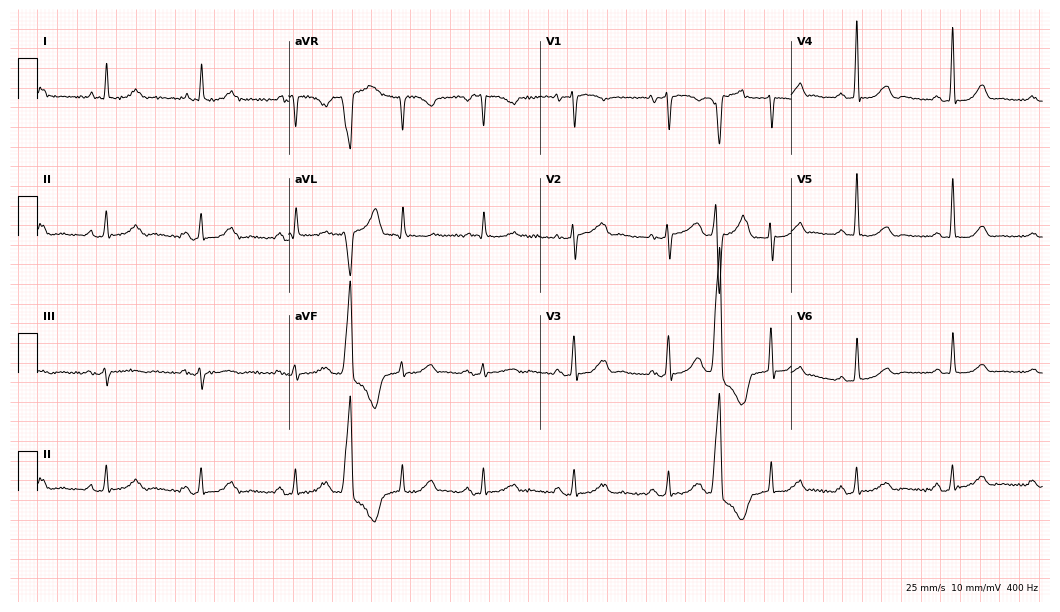
Resting 12-lead electrocardiogram. Patient: a female, 71 years old. None of these six findings is recorded: first-degree AV block, right bundle branch block, left bundle branch block, sinus bradycardia, atrial fibrillation, sinus tachycardia.